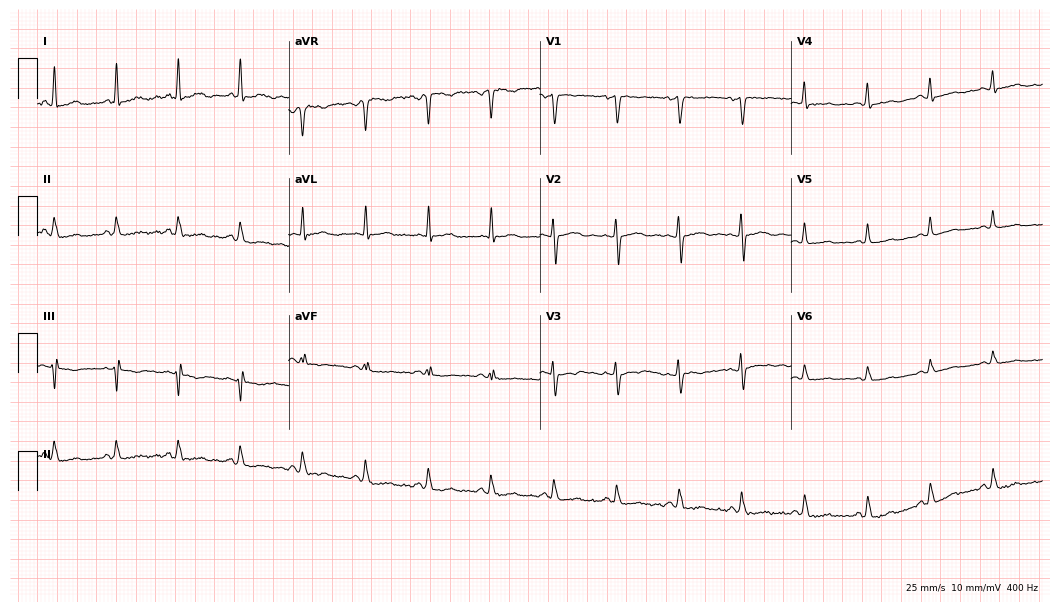
Standard 12-lead ECG recorded from a female, 42 years old (10.2-second recording at 400 Hz). None of these six findings is recorded: first-degree AV block, right bundle branch block, left bundle branch block, sinus bradycardia, atrial fibrillation, sinus tachycardia.